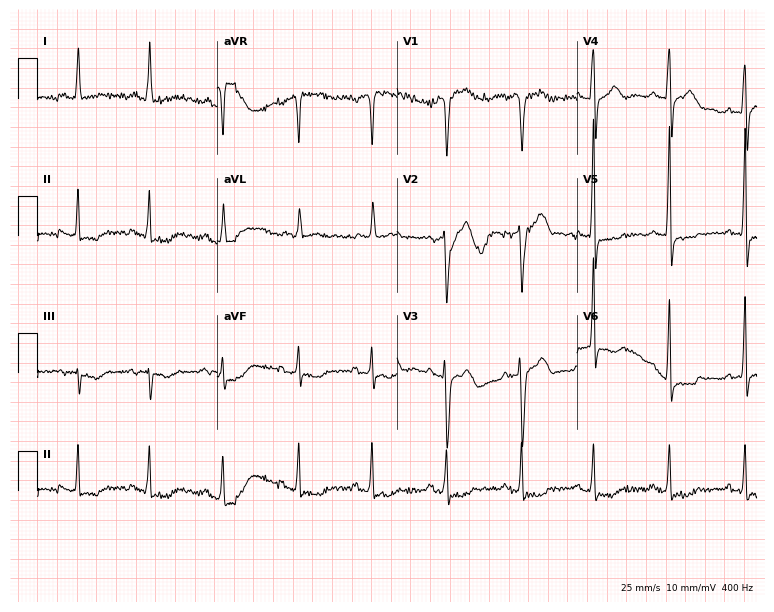
Standard 12-lead ECG recorded from a female, 66 years old. None of these six findings is recorded: first-degree AV block, right bundle branch block, left bundle branch block, sinus bradycardia, atrial fibrillation, sinus tachycardia.